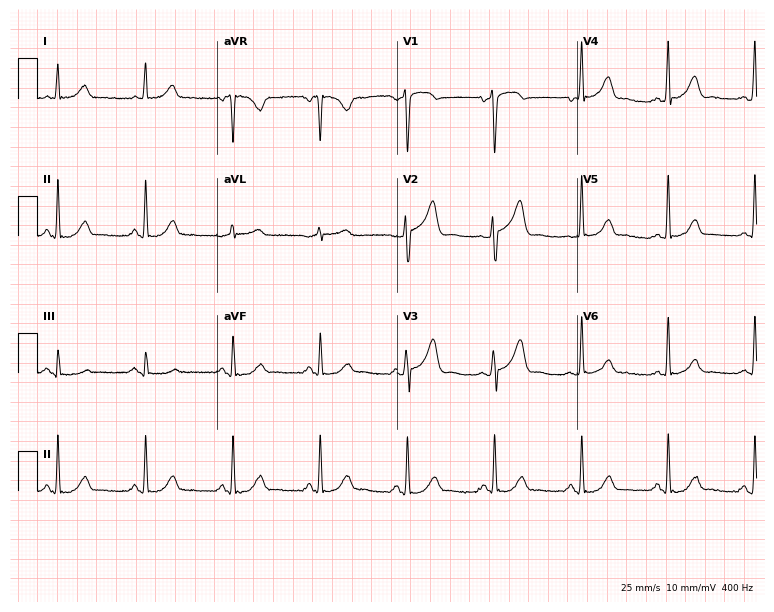
12-lead ECG from a male patient, 61 years old (7.3-second recording at 400 Hz). Recorded interpretation: within normal limits.